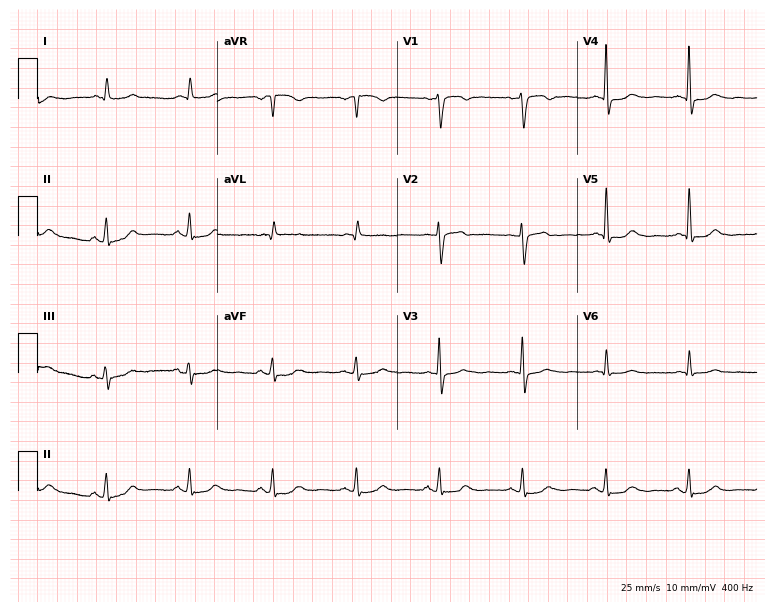
Electrocardiogram, a male patient, 75 years old. Of the six screened findings (first-degree AV block, right bundle branch block, left bundle branch block, sinus bradycardia, atrial fibrillation, sinus tachycardia), none is recorded.